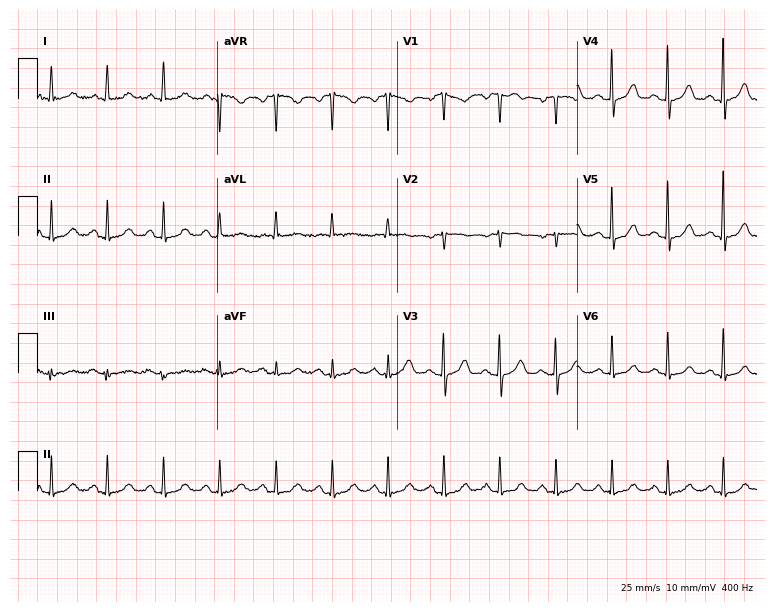
12-lead ECG from an 80-year-old woman. Findings include sinus tachycardia (a sinus rate of 100 beats per minute or more).